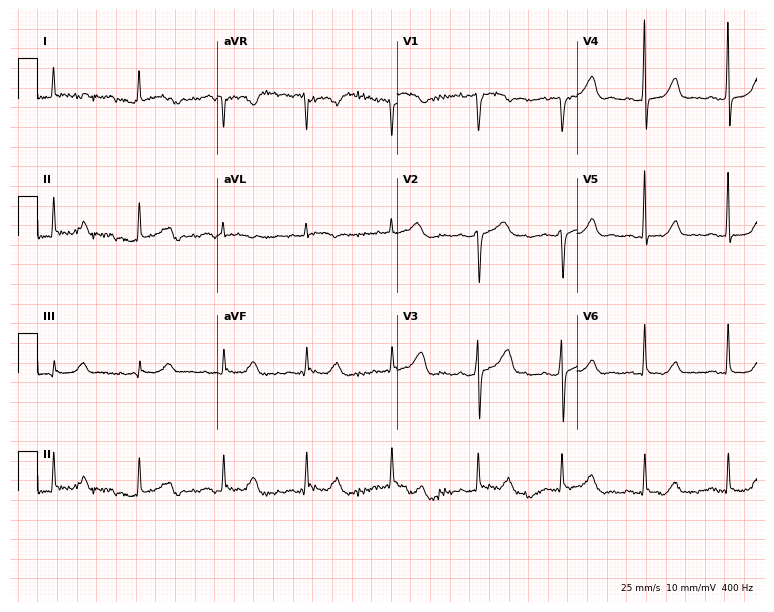
ECG (7.3-second recording at 400 Hz) — a 53-year-old female patient. Labelled as a normal ECG.